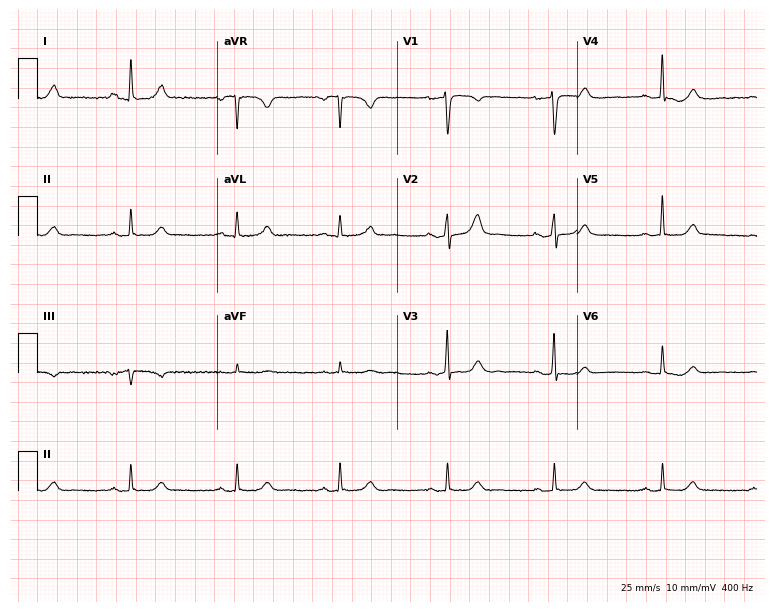
Electrocardiogram (7.3-second recording at 400 Hz), a woman, 54 years old. Overall reading on record: normal ECG.